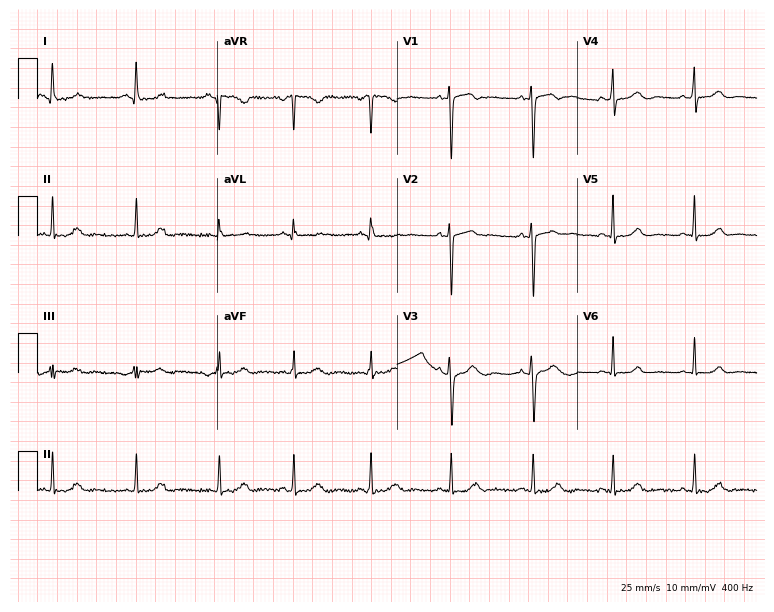
12-lead ECG from a 39-year-old woman. Recorded interpretation: within normal limits.